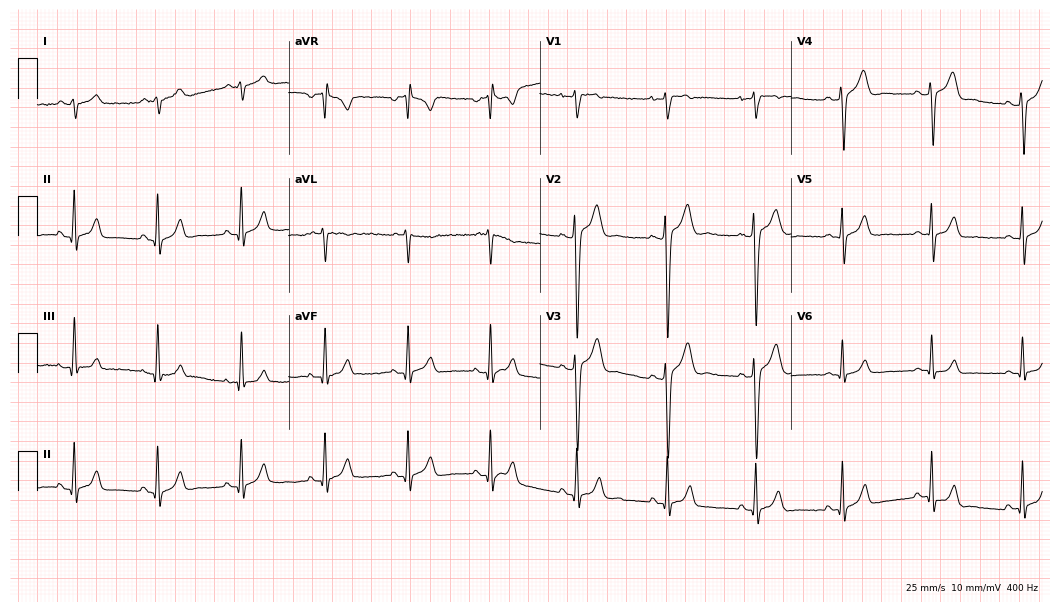
12-lead ECG (10.2-second recording at 400 Hz) from a male, 24 years old. Labelled as a normal ECG.